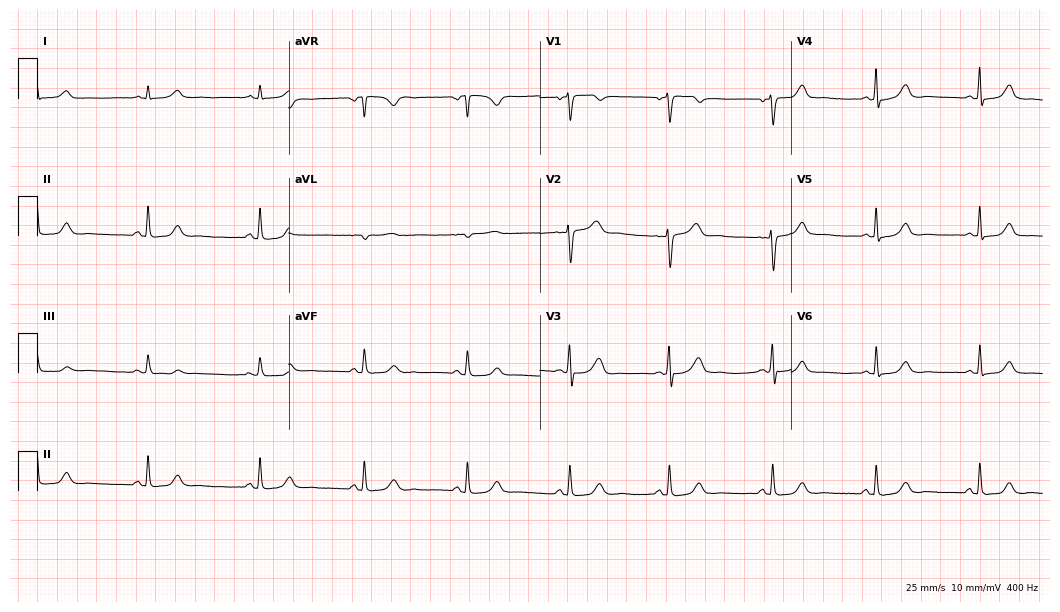
Electrocardiogram (10.2-second recording at 400 Hz), a female patient, 42 years old. Overall reading on record: normal ECG.